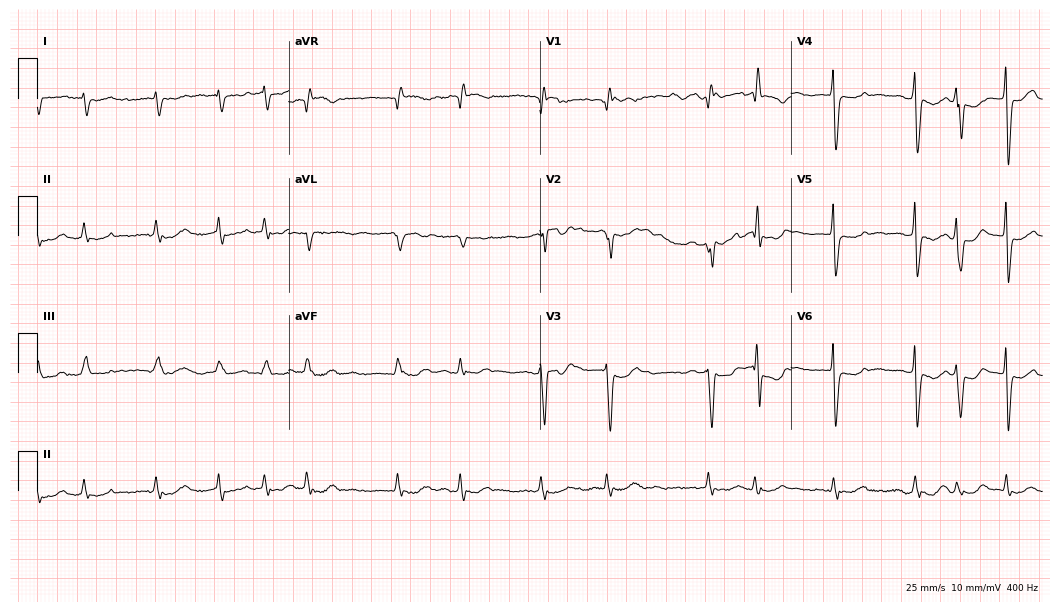
ECG — a female, 67 years old. Findings include atrial fibrillation.